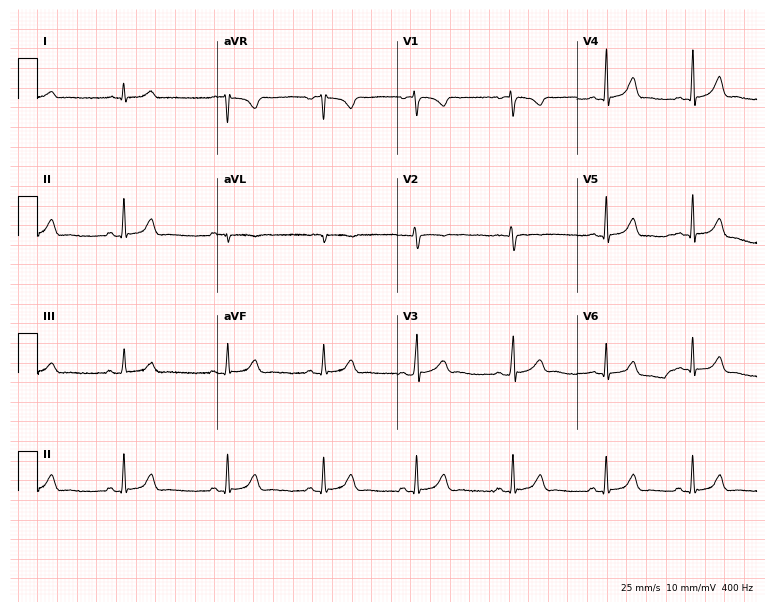
Standard 12-lead ECG recorded from a female patient, 20 years old (7.3-second recording at 400 Hz). Read as a normal ECG.